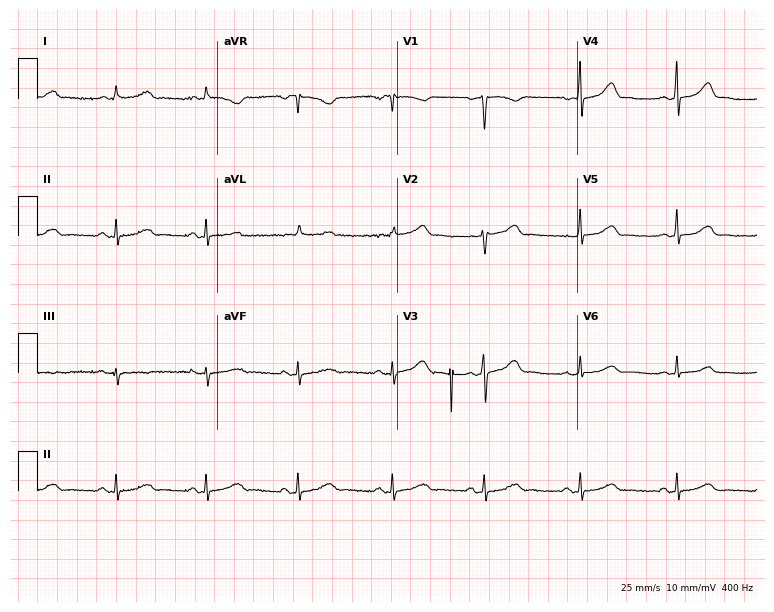
Standard 12-lead ECG recorded from a 41-year-old woman. Read as a normal ECG.